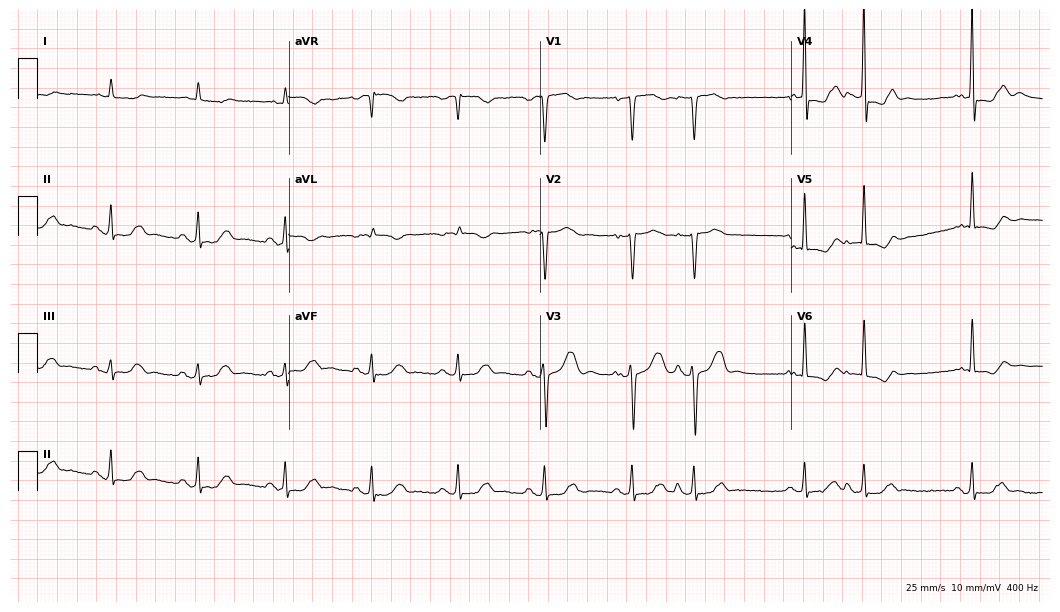
12-lead ECG from a 72-year-old male patient. Screened for six findings — first-degree AV block, right bundle branch block (RBBB), left bundle branch block (LBBB), sinus bradycardia, atrial fibrillation (AF), sinus tachycardia — none is recorded. Findings outside these six are not listed.